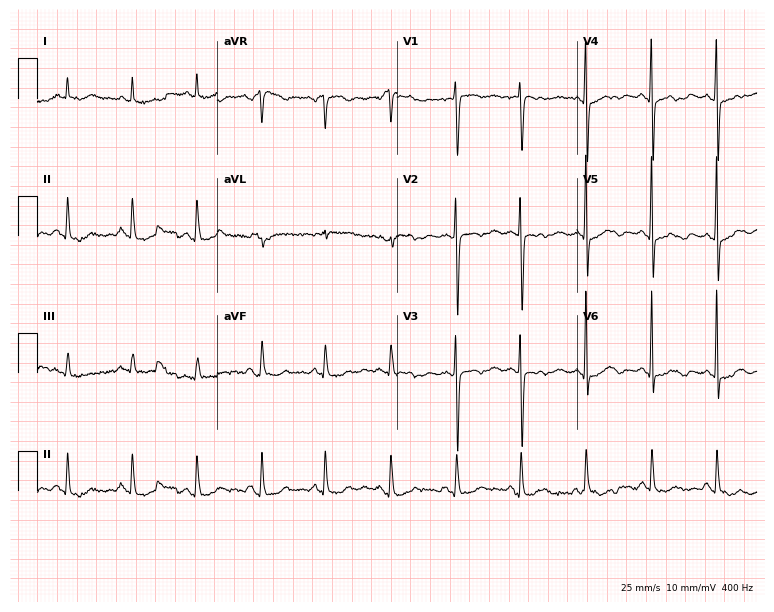
Electrocardiogram, a female patient, 72 years old. Of the six screened findings (first-degree AV block, right bundle branch block, left bundle branch block, sinus bradycardia, atrial fibrillation, sinus tachycardia), none is recorded. Findings outside these six are not listed.